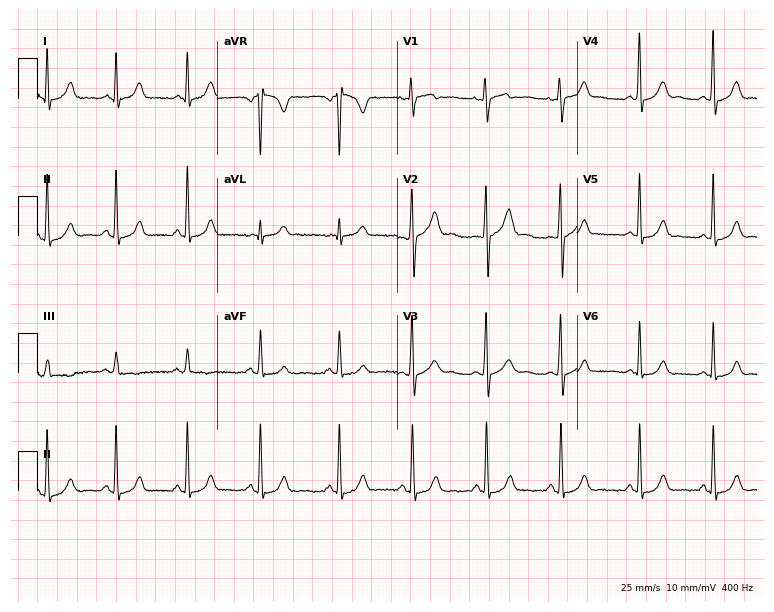
Standard 12-lead ECG recorded from a 19-year-old woman (7.3-second recording at 400 Hz). Read as a normal ECG.